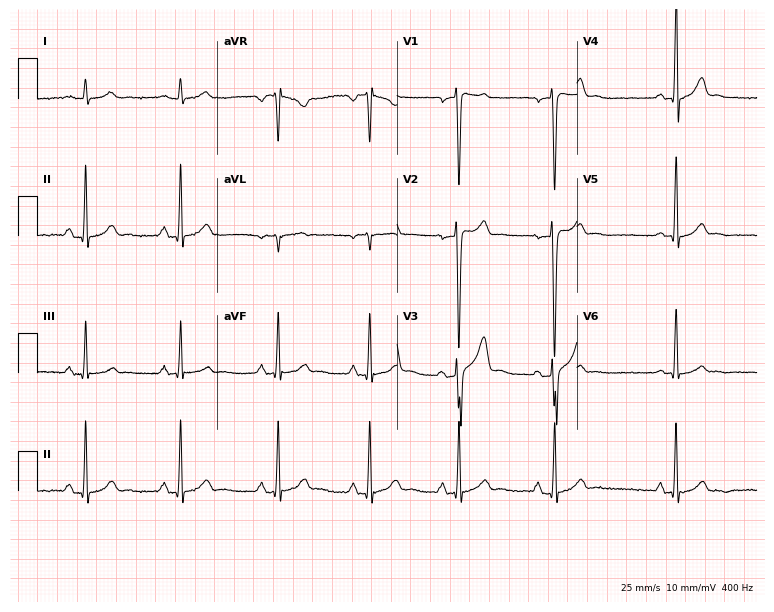
12-lead ECG from a 25-year-old man (7.3-second recording at 400 Hz). No first-degree AV block, right bundle branch block (RBBB), left bundle branch block (LBBB), sinus bradycardia, atrial fibrillation (AF) or sinus tachycardia recorded for this tracing. Only these six findings were labelled.